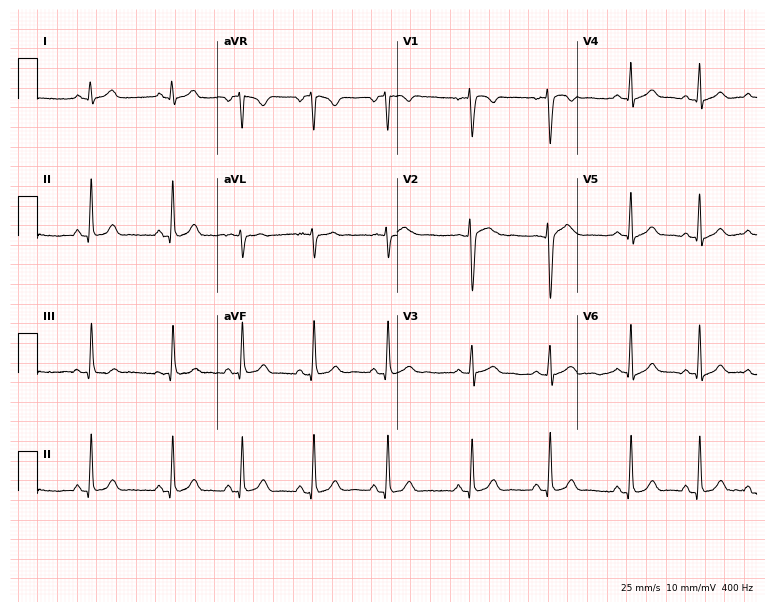
12-lead ECG (7.3-second recording at 400 Hz) from a 21-year-old female patient. Screened for six findings — first-degree AV block, right bundle branch block (RBBB), left bundle branch block (LBBB), sinus bradycardia, atrial fibrillation (AF), sinus tachycardia — none is recorded. Only these six findings were labelled.